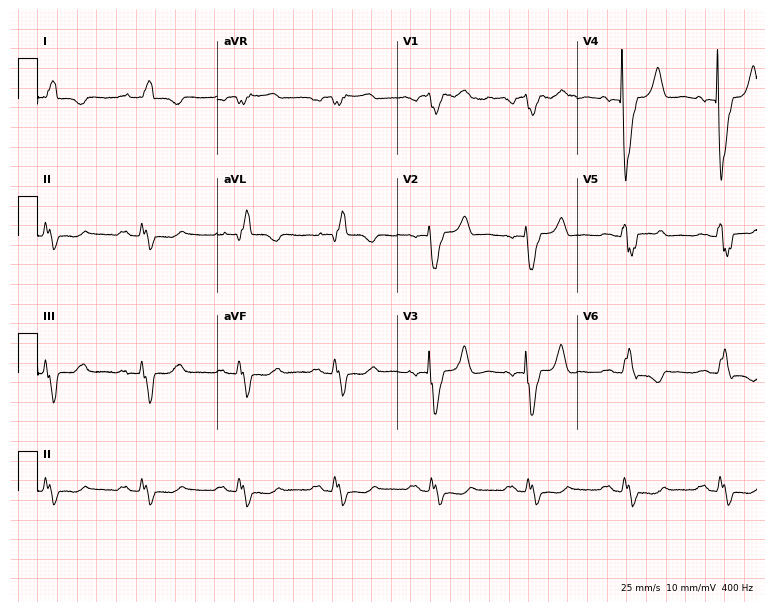
ECG (7.3-second recording at 400 Hz) — a woman, 52 years old. Findings include first-degree AV block, left bundle branch block.